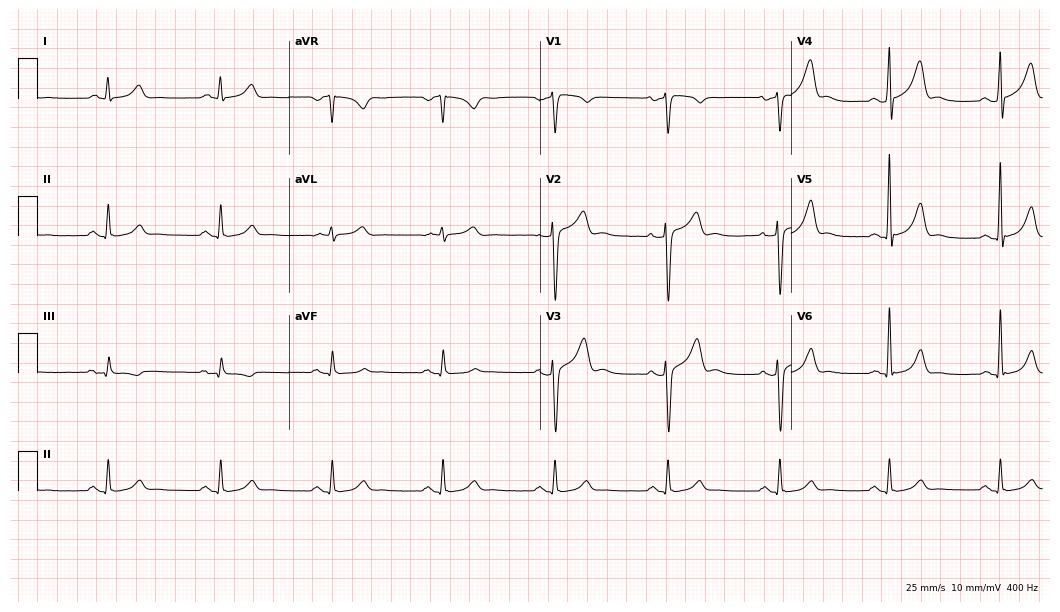
Resting 12-lead electrocardiogram. Patient: a man, 47 years old. None of these six findings is recorded: first-degree AV block, right bundle branch block, left bundle branch block, sinus bradycardia, atrial fibrillation, sinus tachycardia. Only these six findings were labelled.